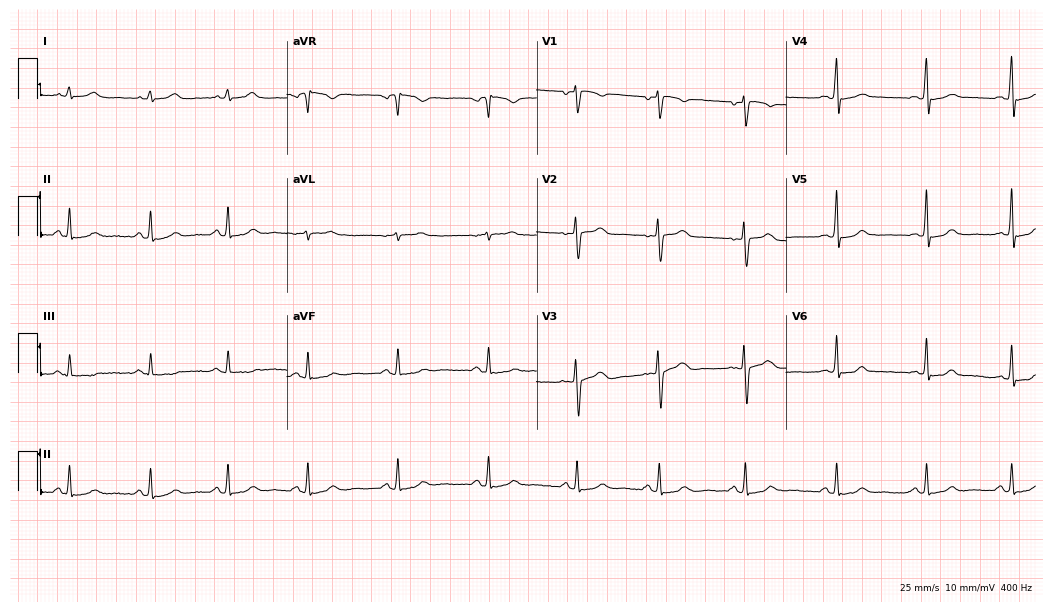
12-lead ECG from a female patient, 38 years old. Recorded interpretation: within normal limits.